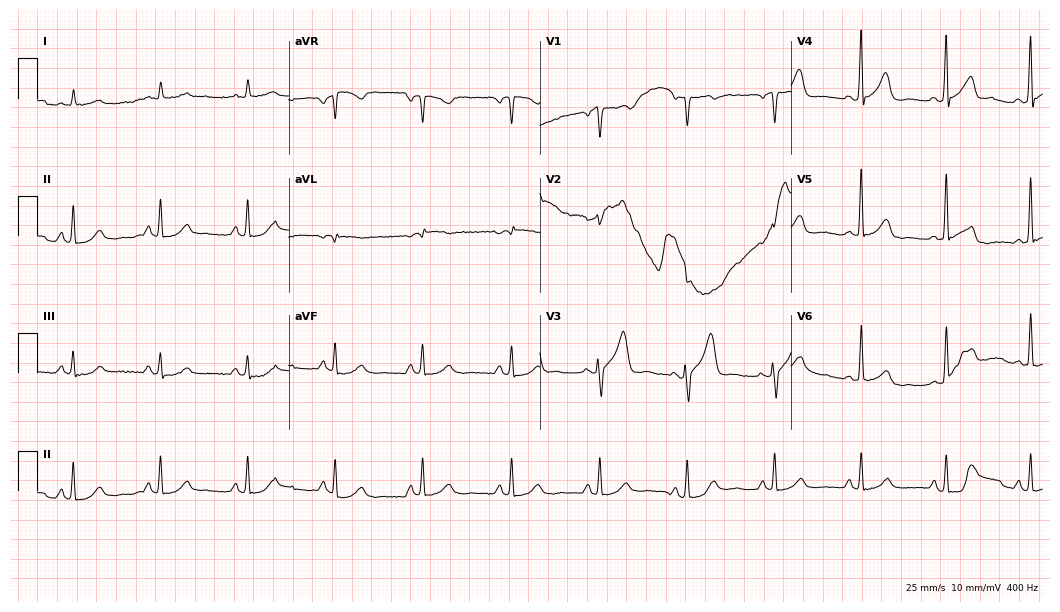
12-lead ECG from a 70-year-old male patient (10.2-second recording at 400 Hz). Recorded interpretation: within normal limits.